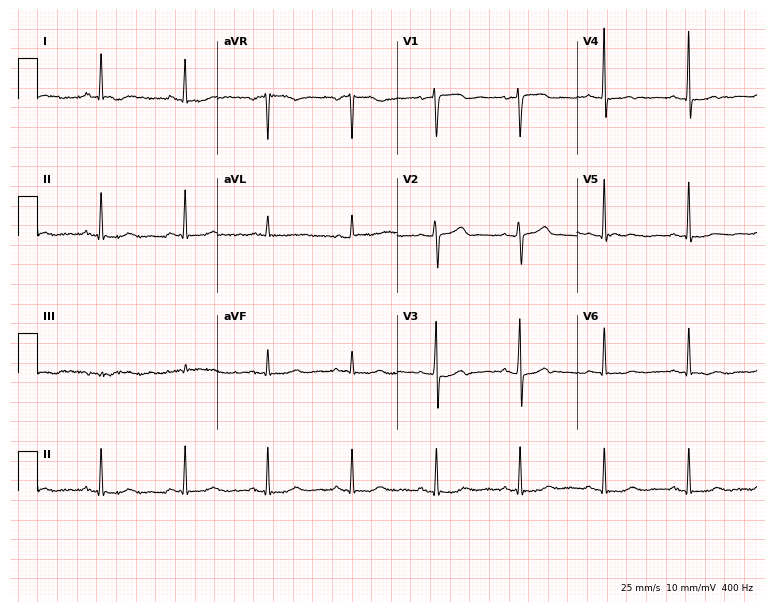
ECG — a female patient, 69 years old. Labelled as a normal ECG.